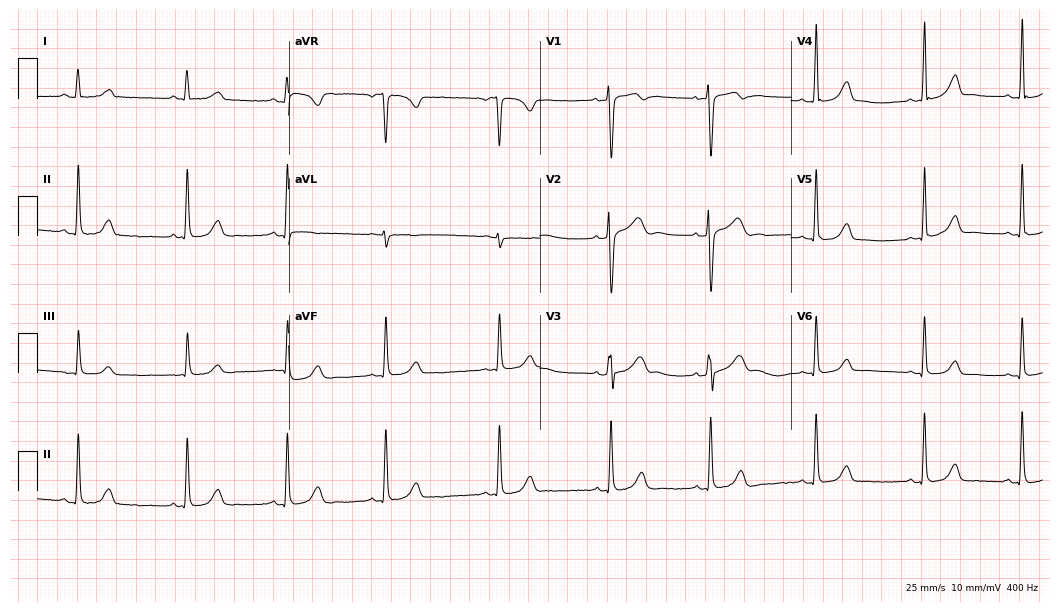
Standard 12-lead ECG recorded from a female, 32 years old (10.2-second recording at 400 Hz). Read as a normal ECG.